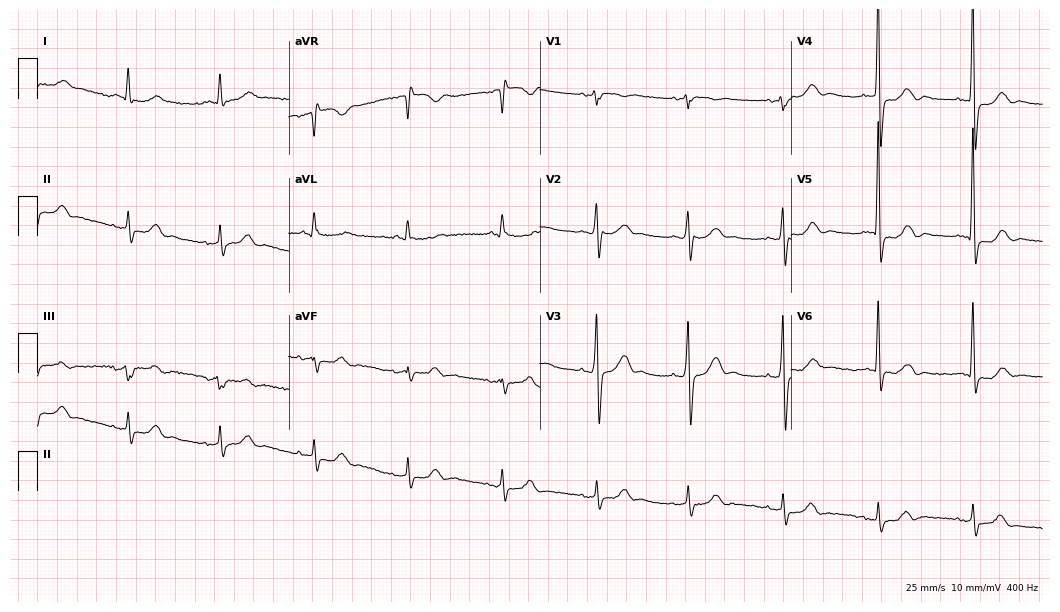
Standard 12-lead ECG recorded from a 72-year-old man. None of these six findings is recorded: first-degree AV block, right bundle branch block, left bundle branch block, sinus bradycardia, atrial fibrillation, sinus tachycardia. Only these six findings were labelled.